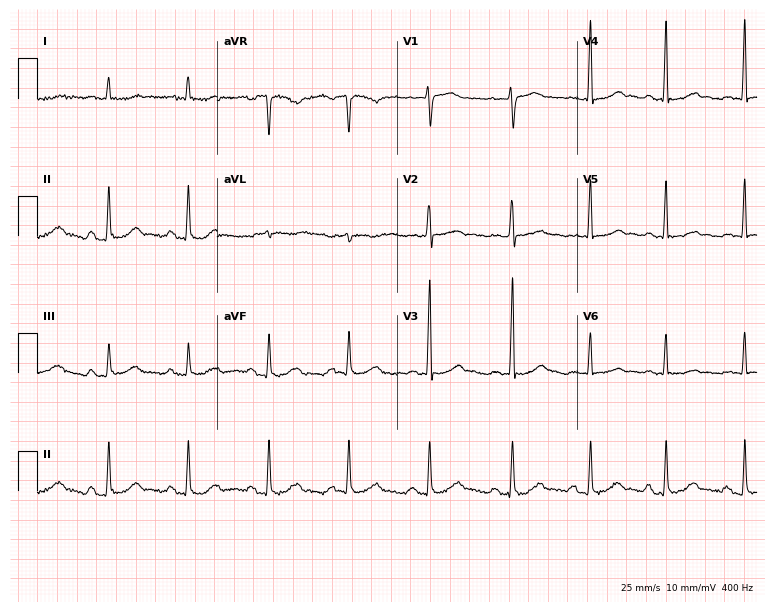
Resting 12-lead electrocardiogram (7.3-second recording at 400 Hz). Patient: a 48-year-old male. Read as a normal ECG.